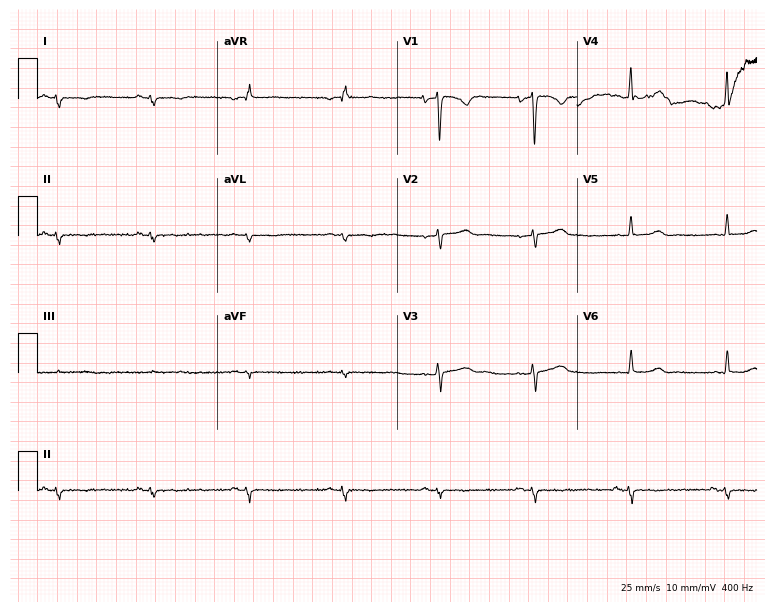
Electrocardiogram, a 37-year-old female. Of the six screened findings (first-degree AV block, right bundle branch block, left bundle branch block, sinus bradycardia, atrial fibrillation, sinus tachycardia), none is recorded. Only these six findings were labelled.